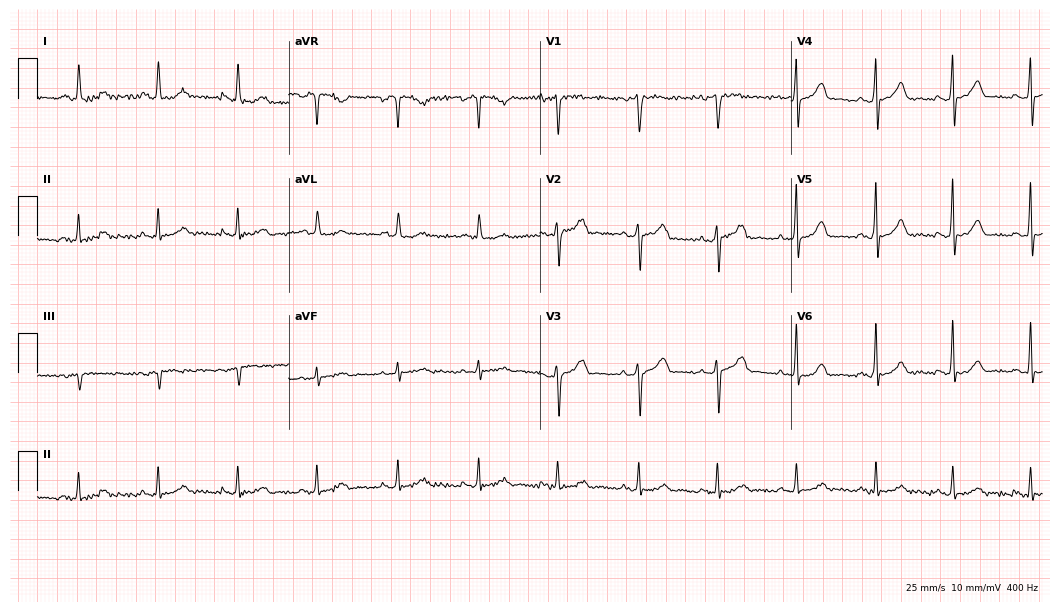
12-lead ECG from a woman, 51 years old. Recorded interpretation: within normal limits.